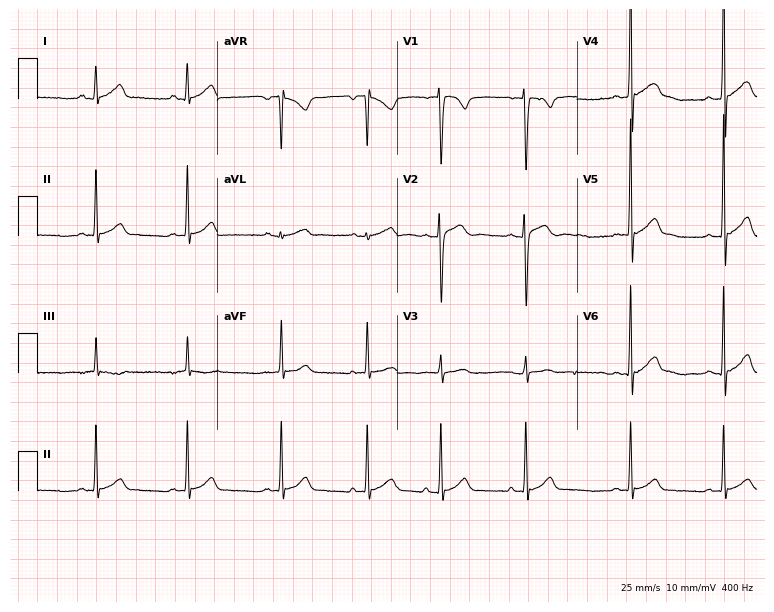
Standard 12-lead ECG recorded from a 17-year-old male patient. Read as a normal ECG.